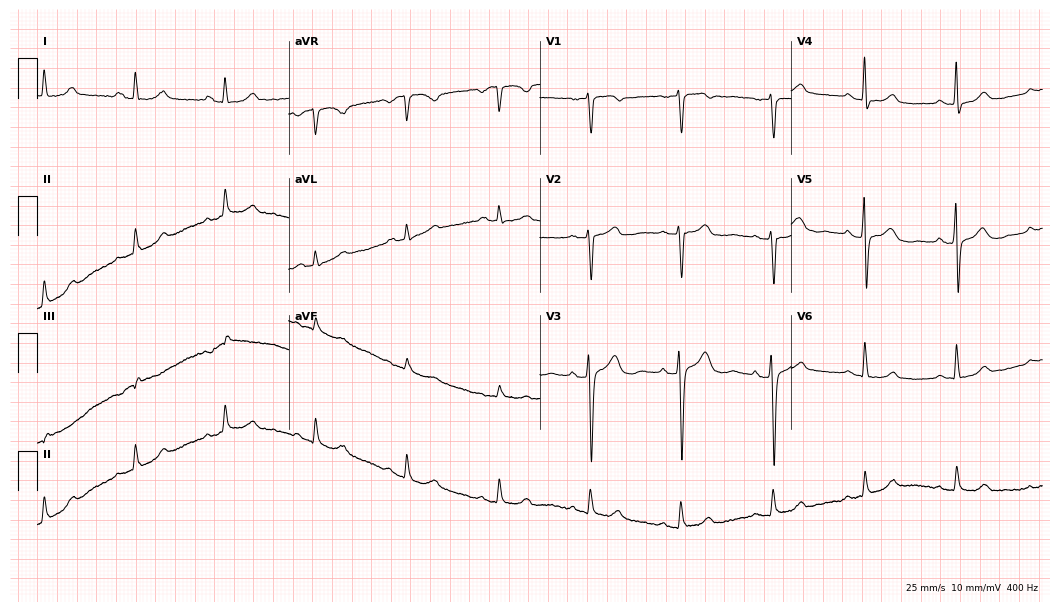
Electrocardiogram (10.2-second recording at 400 Hz), a female, 62 years old. Overall reading on record: normal ECG.